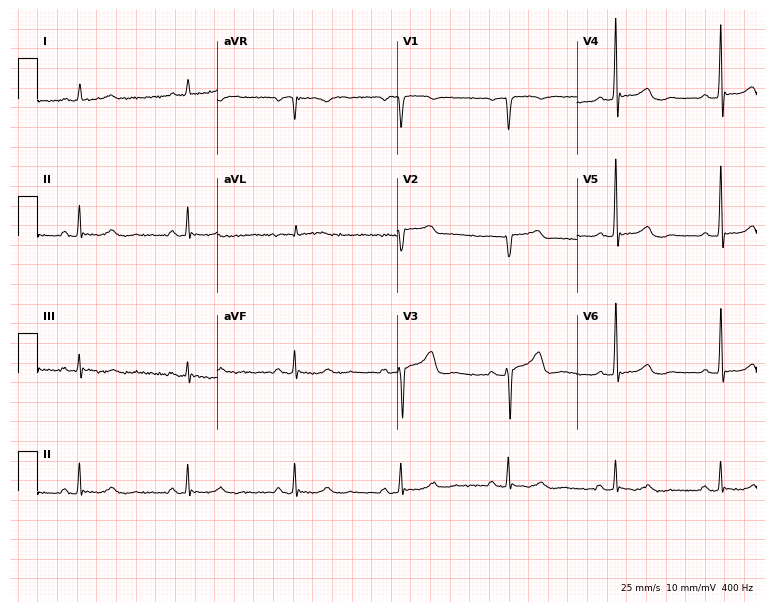
12-lead ECG from a 67-year-old male. No first-degree AV block, right bundle branch block, left bundle branch block, sinus bradycardia, atrial fibrillation or sinus tachycardia recorded for this tracing.